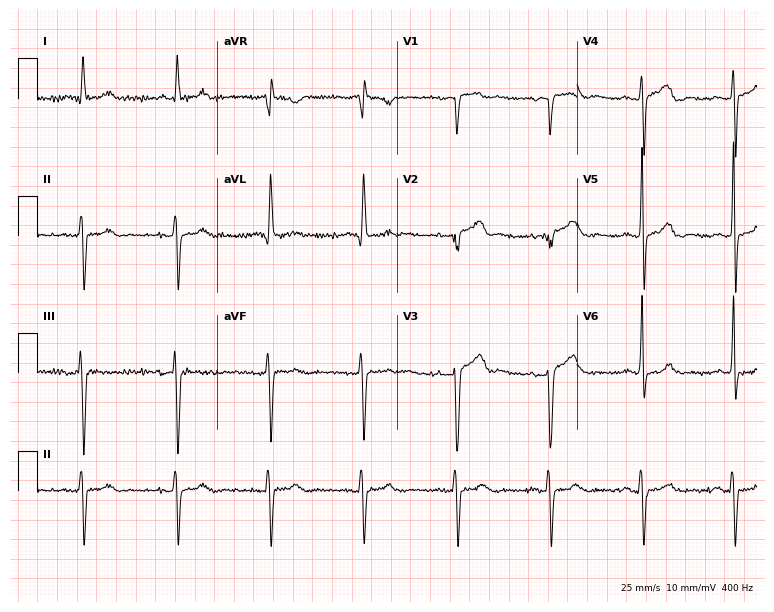
Standard 12-lead ECG recorded from a male patient, 74 years old (7.3-second recording at 400 Hz). None of these six findings is recorded: first-degree AV block, right bundle branch block, left bundle branch block, sinus bradycardia, atrial fibrillation, sinus tachycardia. Other findings, if any, are not listed.